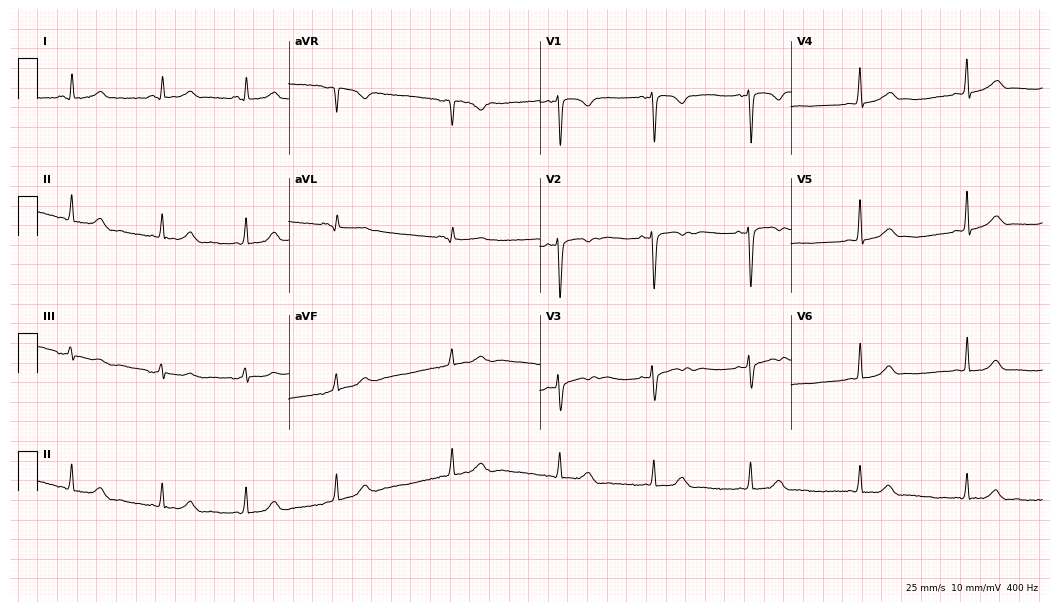
ECG — a female patient, 20 years old. Labelled as a normal ECG.